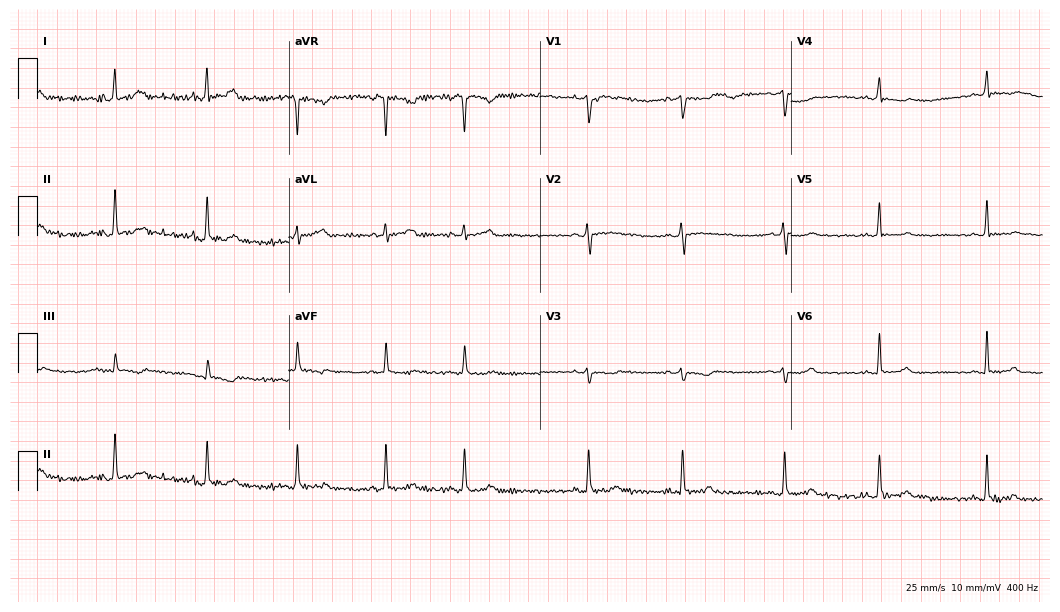
Electrocardiogram (10.2-second recording at 400 Hz), a woman, 20 years old. Overall reading on record: normal ECG.